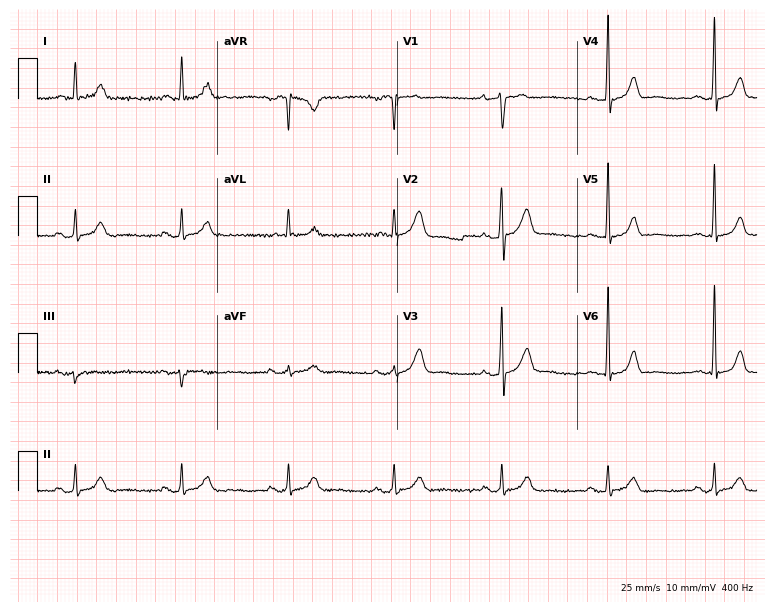
Standard 12-lead ECG recorded from a 40-year-old male patient. None of these six findings is recorded: first-degree AV block, right bundle branch block, left bundle branch block, sinus bradycardia, atrial fibrillation, sinus tachycardia. Other findings, if any, are not listed.